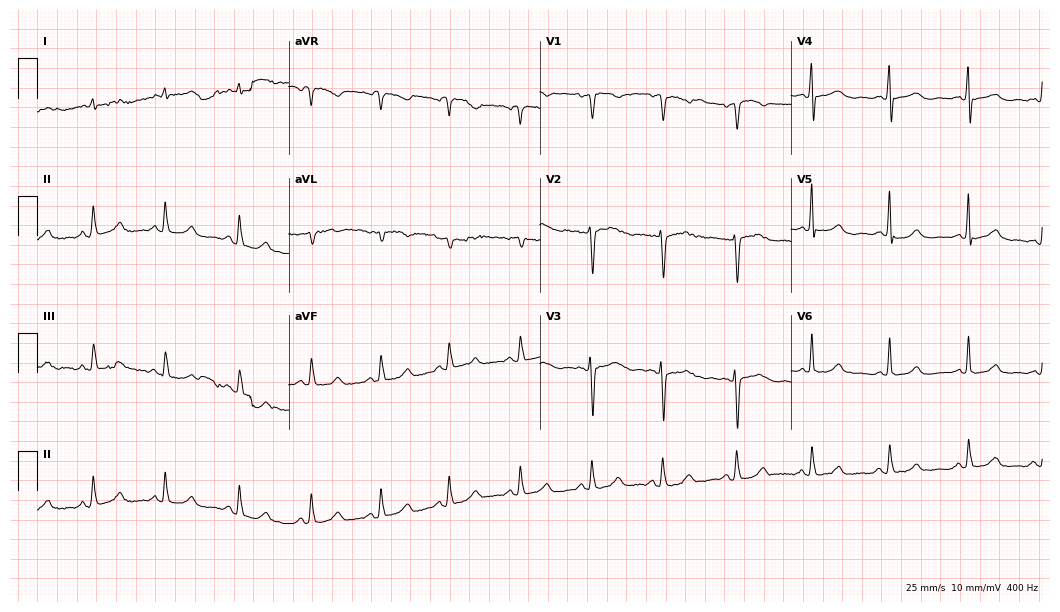
12-lead ECG from a 72-year-old female patient. Recorded interpretation: within normal limits.